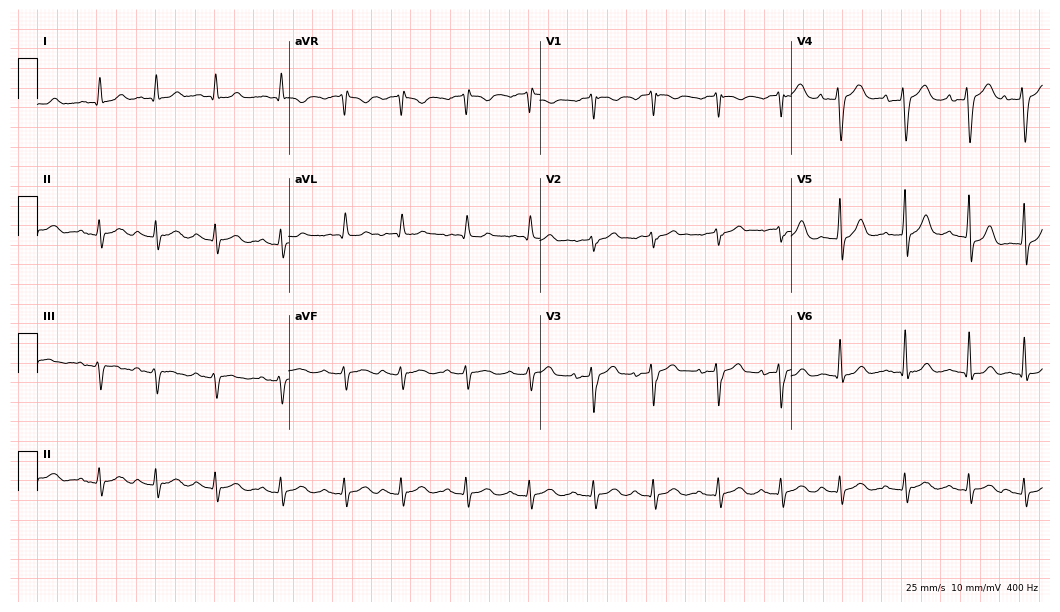
Resting 12-lead electrocardiogram. Patient: a man, 80 years old. None of these six findings is recorded: first-degree AV block, right bundle branch block, left bundle branch block, sinus bradycardia, atrial fibrillation, sinus tachycardia.